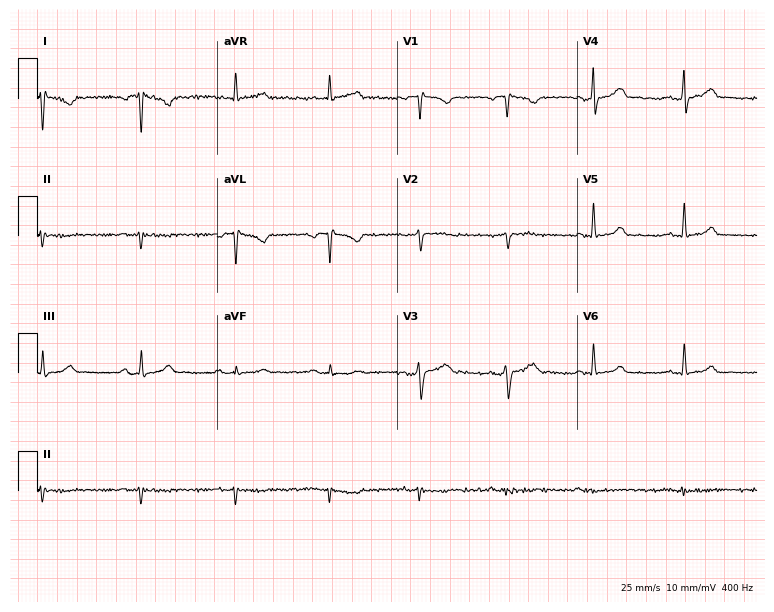
Resting 12-lead electrocardiogram. Patient: a female, 41 years old. None of these six findings is recorded: first-degree AV block, right bundle branch block, left bundle branch block, sinus bradycardia, atrial fibrillation, sinus tachycardia.